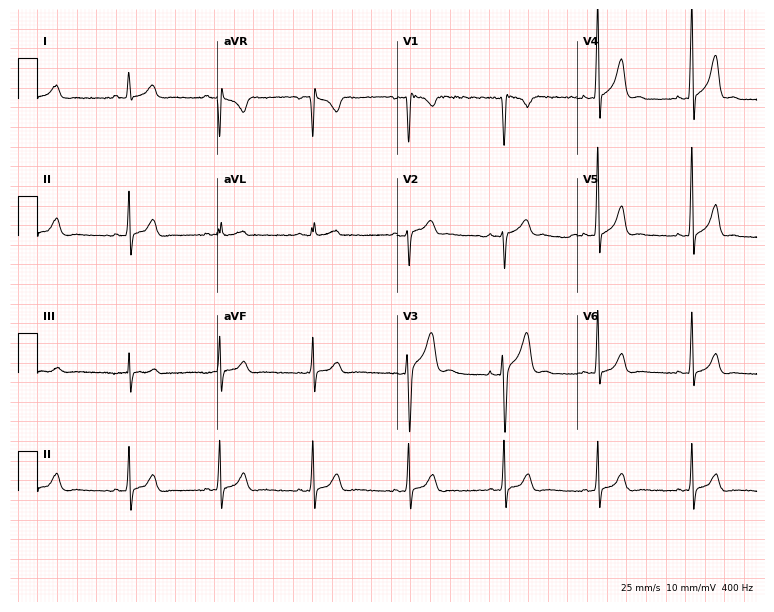
ECG (7.3-second recording at 400 Hz) — a man, 28 years old. Labelled as a normal ECG.